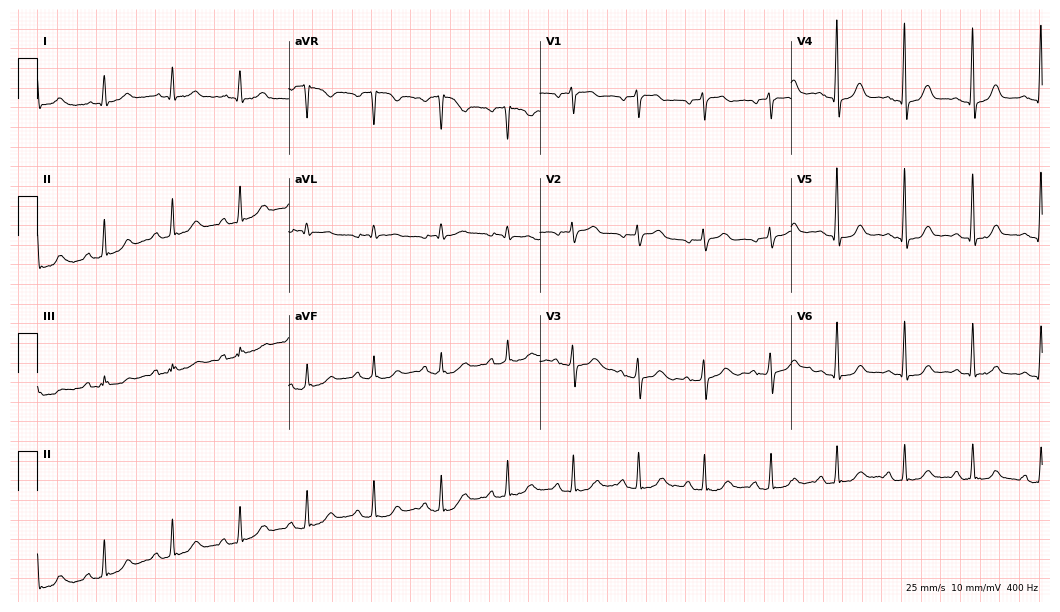
Electrocardiogram (10.2-second recording at 400 Hz), a female patient, 67 years old. Overall reading on record: normal ECG.